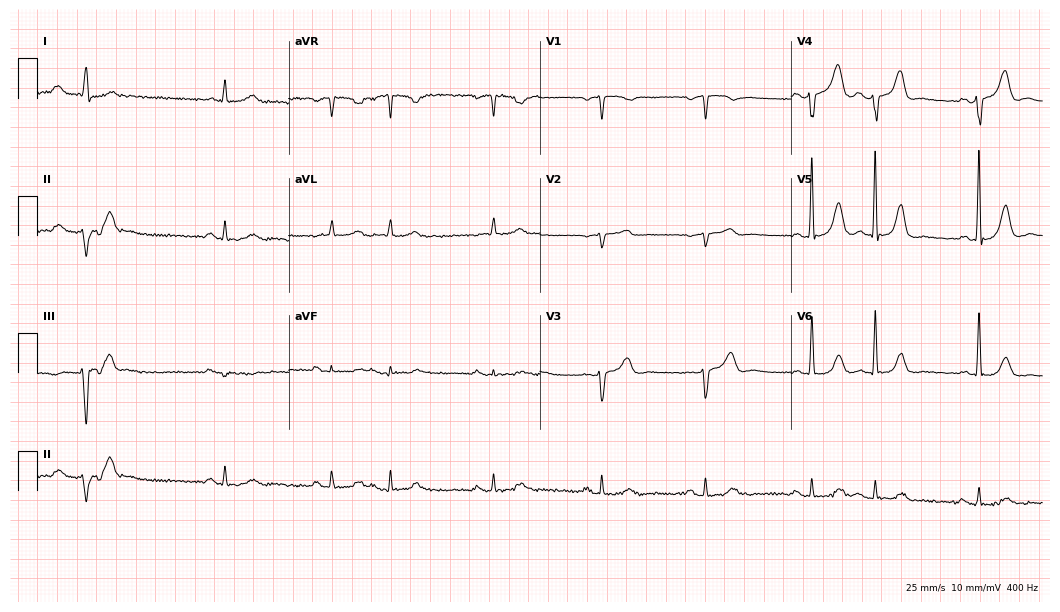
12-lead ECG from a male patient, 77 years old (10.2-second recording at 400 Hz). No first-degree AV block, right bundle branch block (RBBB), left bundle branch block (LBBB), sinus bradycardia, atrial fibrillation (AF) or sinus tachycardia recorded for this tracing. Only these six findings were labelled.